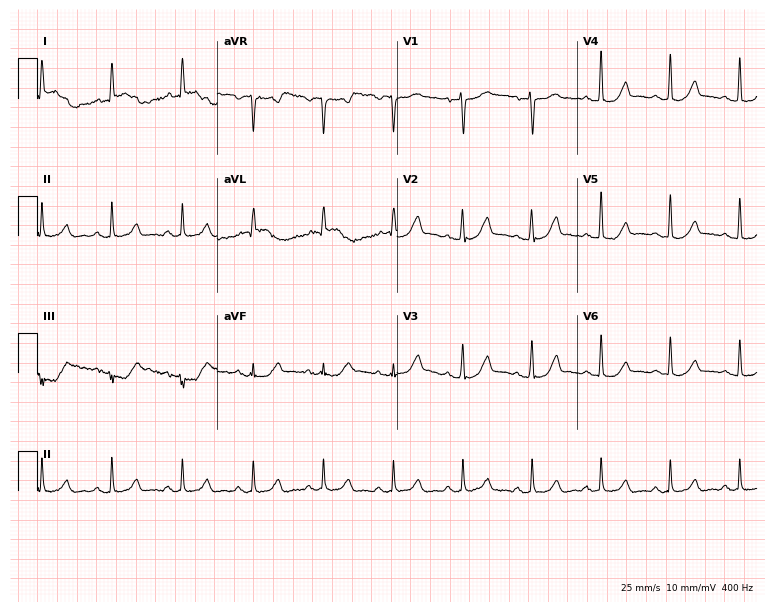
ECG — a woman, 80 years old. Screened for six findings — first-degree AV block, right bundle branch block, left bundle branch block, sinus bradycardia, atrial fibrillation, sinus tachycardia — none is recorded. Other findings, if any, are not listed.